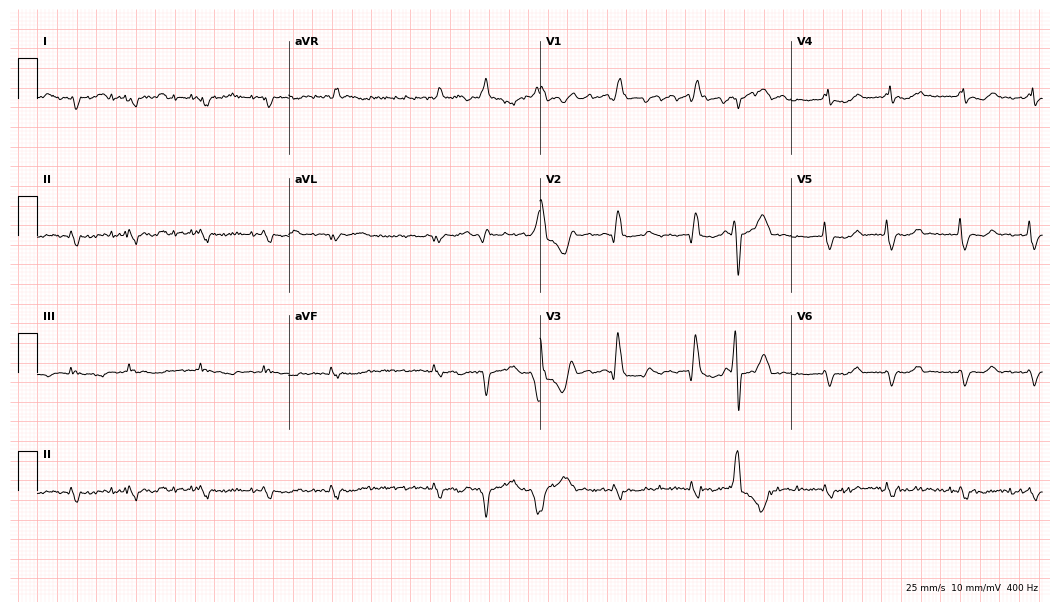
Resting 12-lead electrocardiogram. Patient: a man, 69 years old. None of these six findings is recorded: first-degree AV block, right bundle branch block, left bundle branch block, sinus bradycardia, atrial fibrillation, sinus tachycardia.